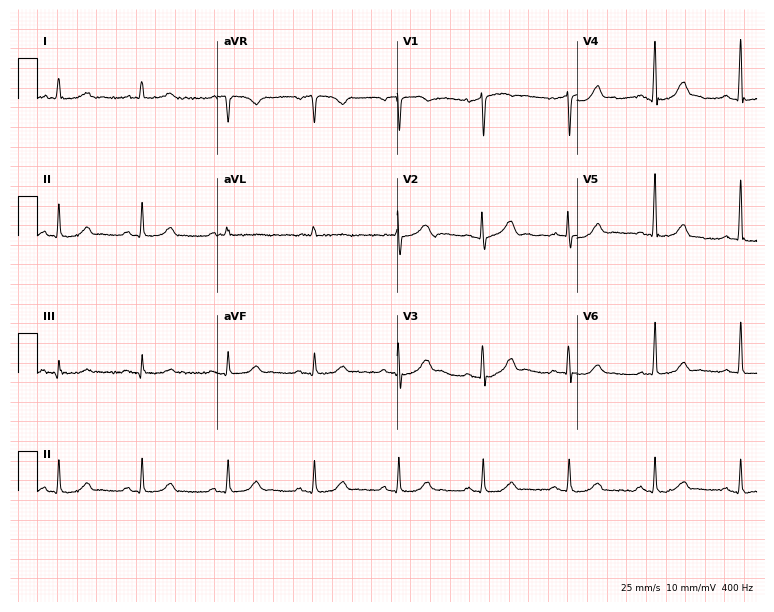
12-lead ECG (7.3-second recording at 400 Hz) from a female patient, 85 years old. Labelled as a normal ECG.